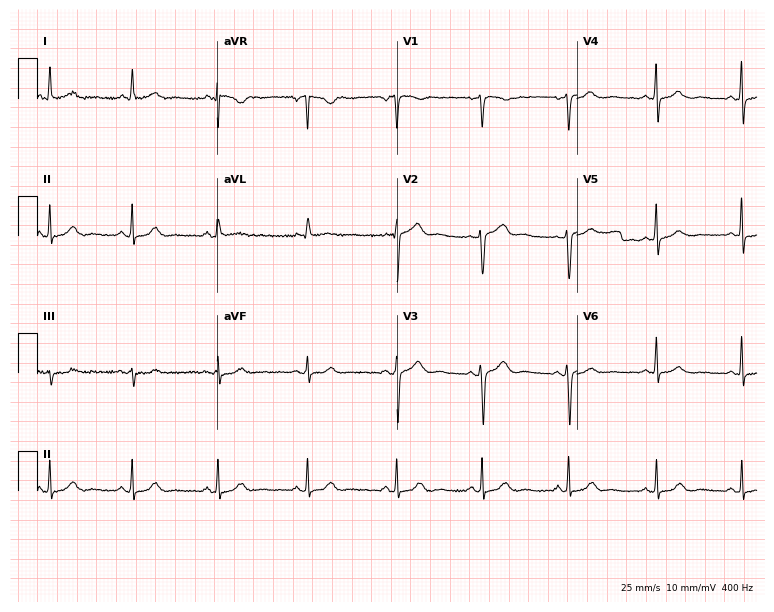
12-lead ECG from a 52-year-old female patient. Labelled as a normal ECG.